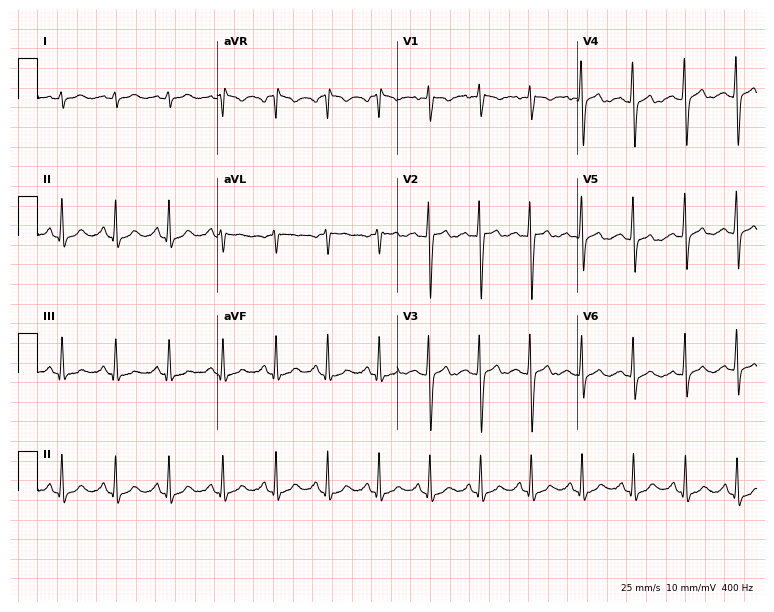
12-lead ECG from a female patient, 20 years old. No first-degree AV block, right bundle branch block, left bundle branch block, sinus bradycardia, atrial fibrillation or sinus tachycardia recorded for this tracing.